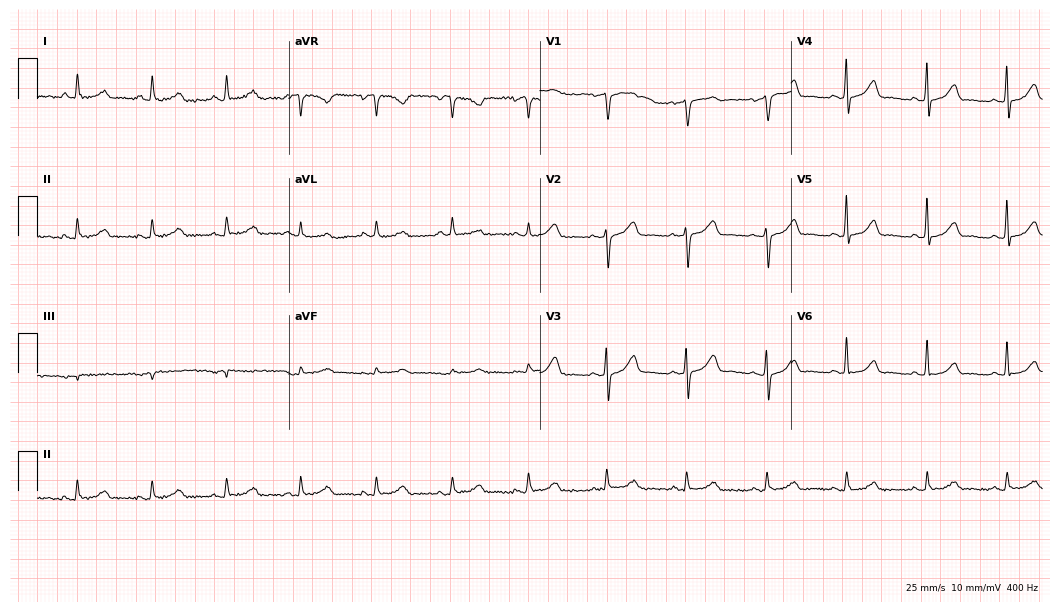
Electrocardiogram, a female patient, 69 years old. Overall reading on record: normal ECG.